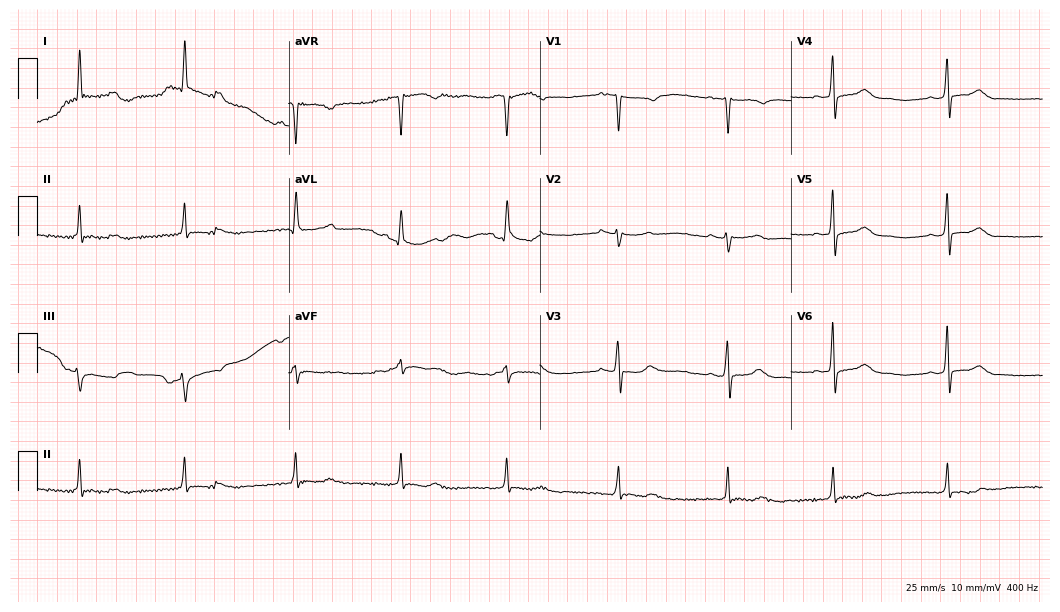
12-lead ECG from a female, 58 years old. No first-degree AV block, right bundle branch block, left bundle branch block, sinus bradycardia, atrial fibrillation or sinus tachycardia recorded for this tracing. Only these six findings were labelled.